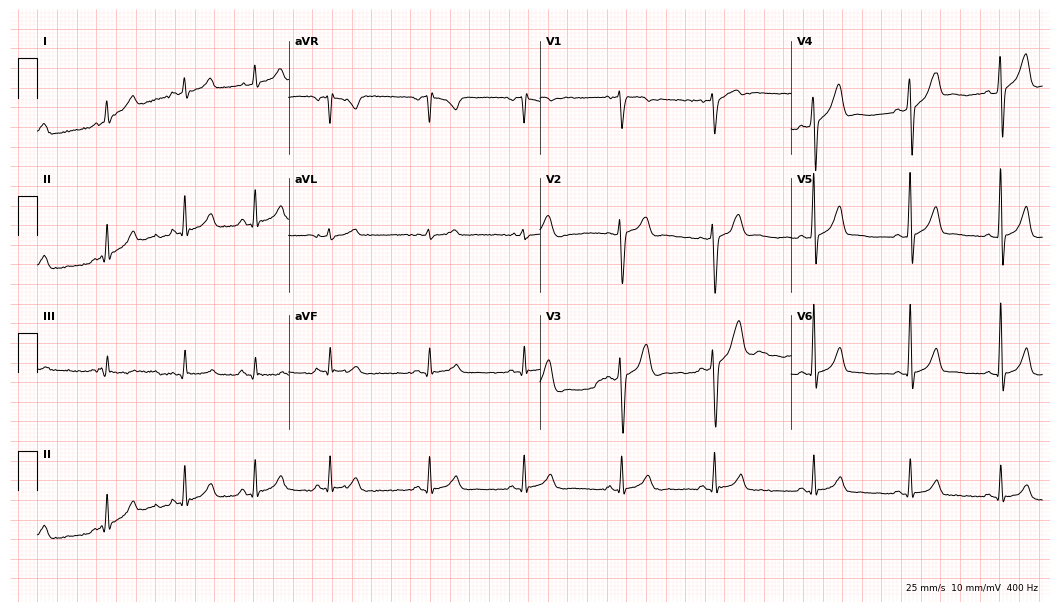
12-lead ECG from a man, 28 years old. Recorded interpretation: within normal limits.